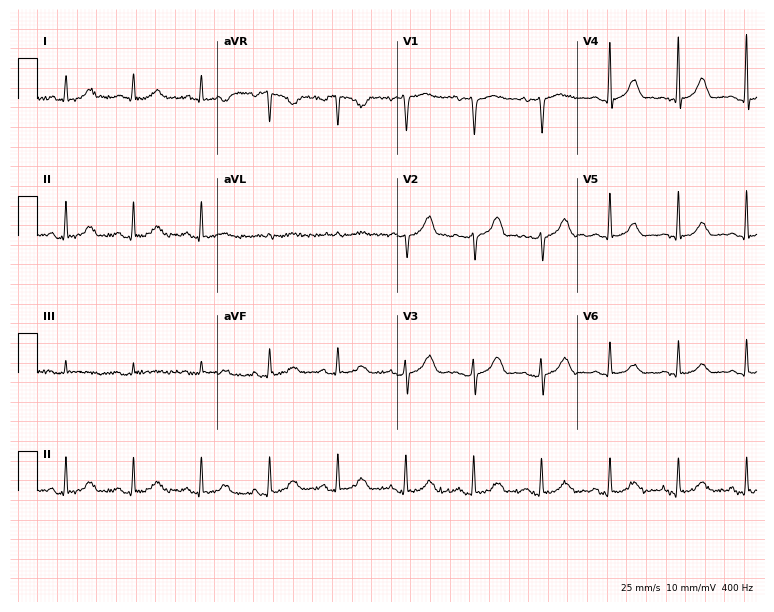
Standard 12-lead ECG recorded from a 68-year-old female patient. Read as a normal ECG.